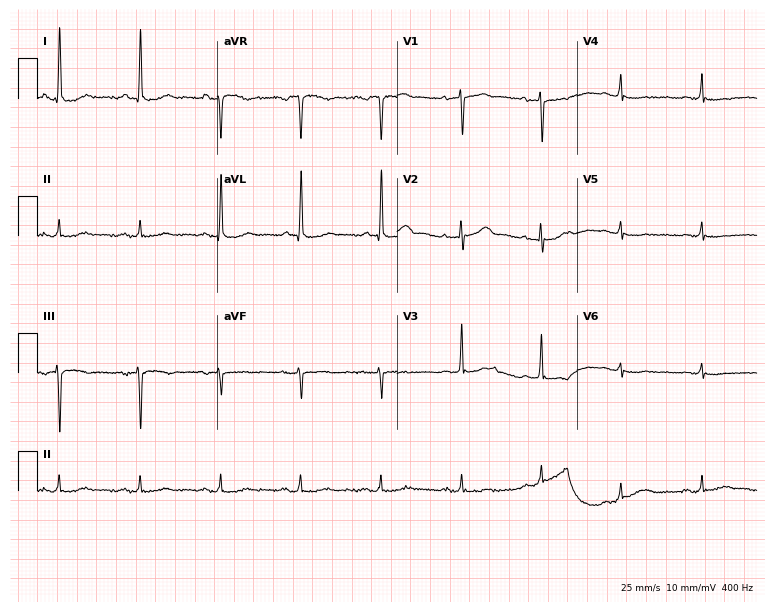
Electrocardiogram, an 81-year-old female. Of the six screened findings (first-degree AV block, right bundle branch block (RBBB), left bundle branch block (LBBB), sinus bradycardia, atrial fibrillation (AF), sinus tachycardia), none is recorded.